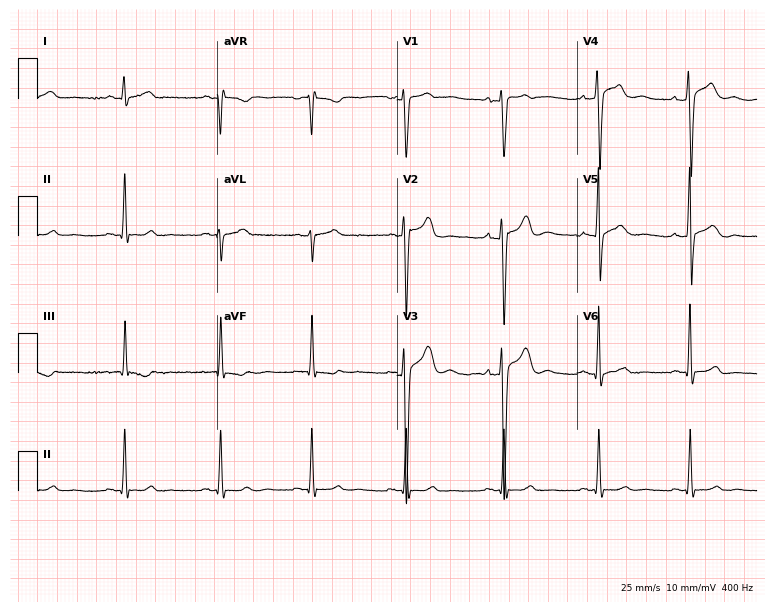
12-lead ECG from a 27-year-old male (7.3-second recording at 400 Hz). Recorded interpretation: within normal limits.